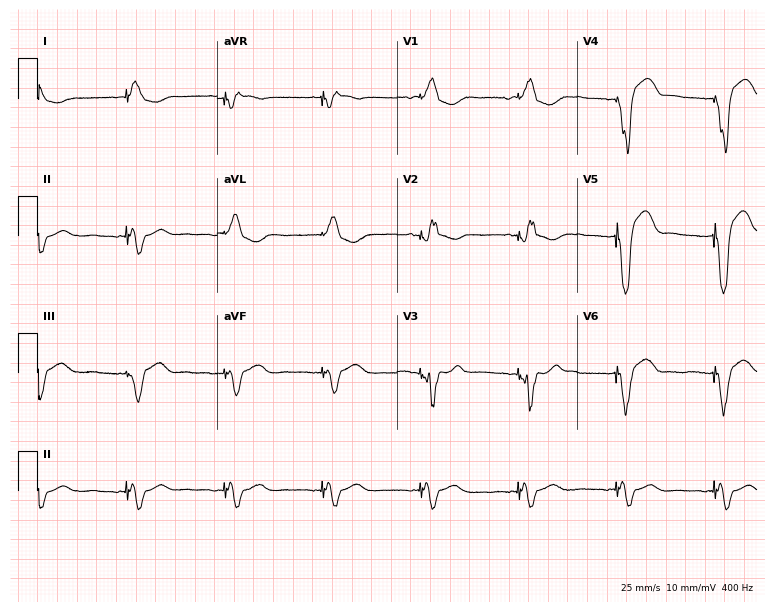
Standard 12-lead ECG recorded from a male patient, 54 years old (7.3-second recording at 400 Hz). None of these six findings is recorded: first-degree AV block, right bundle branch block, left bundle branch block, sinus bradycardia, atrial fibrillation, sinus tachycardia. Findings outside these six are not listed.